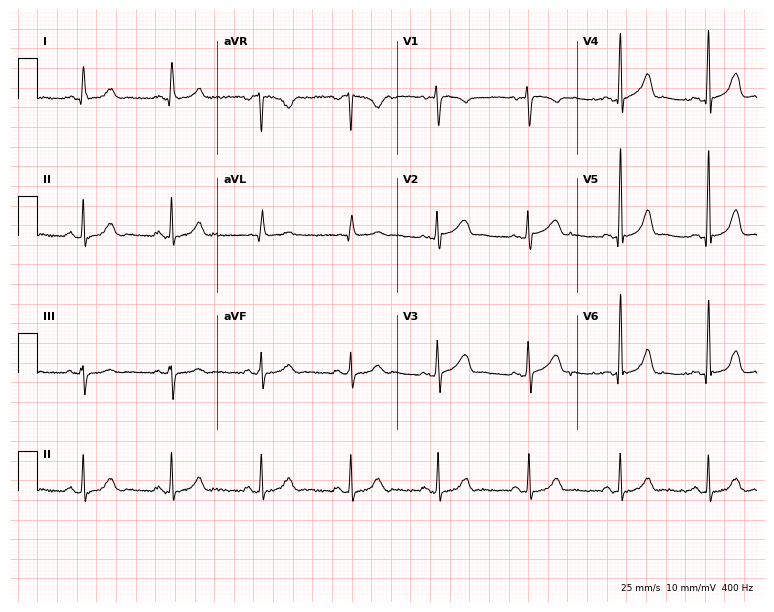
Standard 12-lead ECG recorded from a female, 39 years old. Read as a normal ECG.